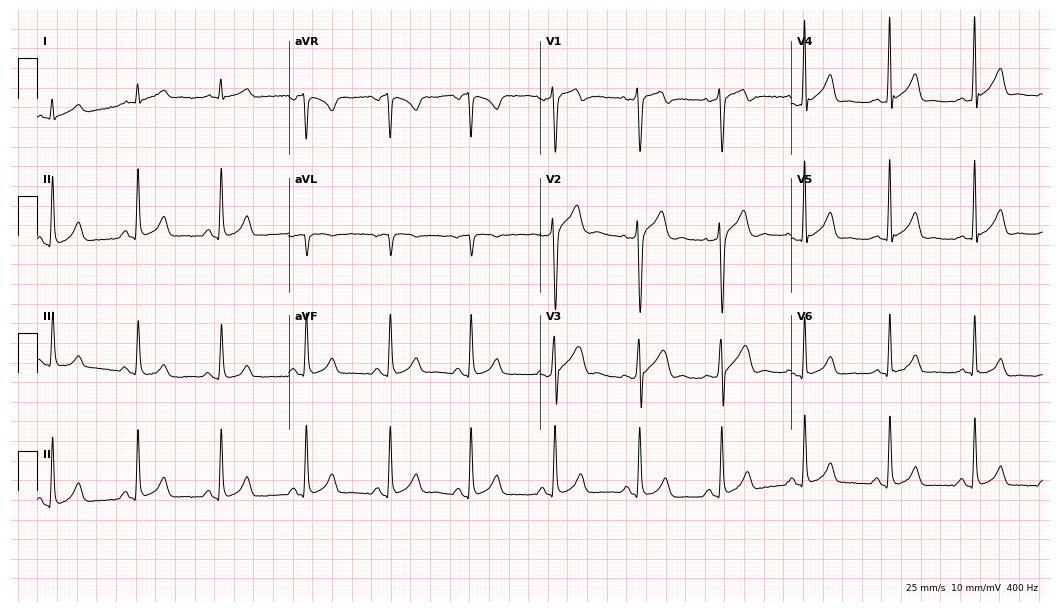
Standard 12-lead ECG recorded from a male, 42 years old (10.2-second recording at 400 Hz). Read as a normal ECG.